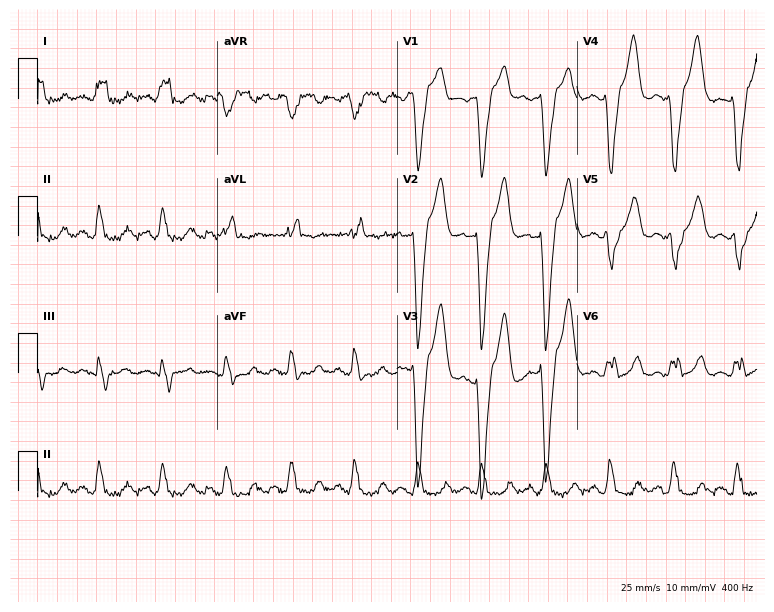
12-lead ECG (7.3-second recording at 400 Hz) from a female patient, 58 years old. Findings include left bundle branch block.